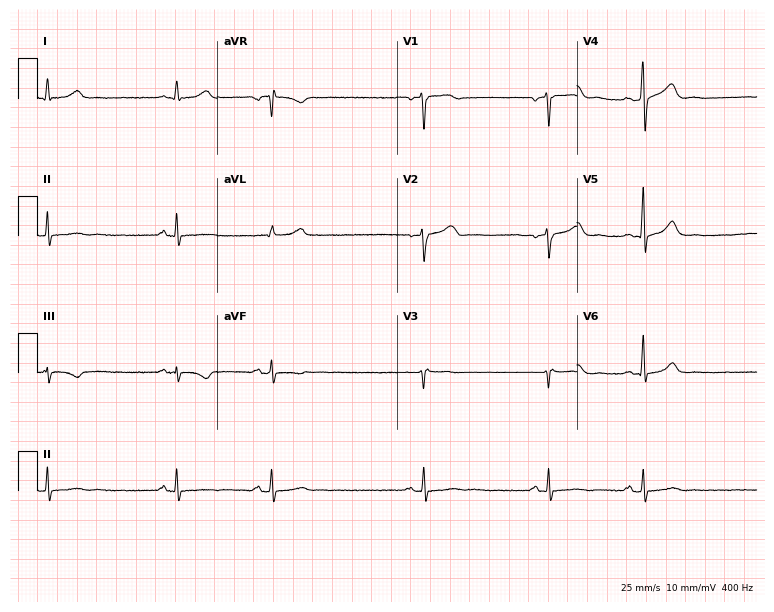
ECG — a 47-year-old male patient. Labelled as a normal ECG.